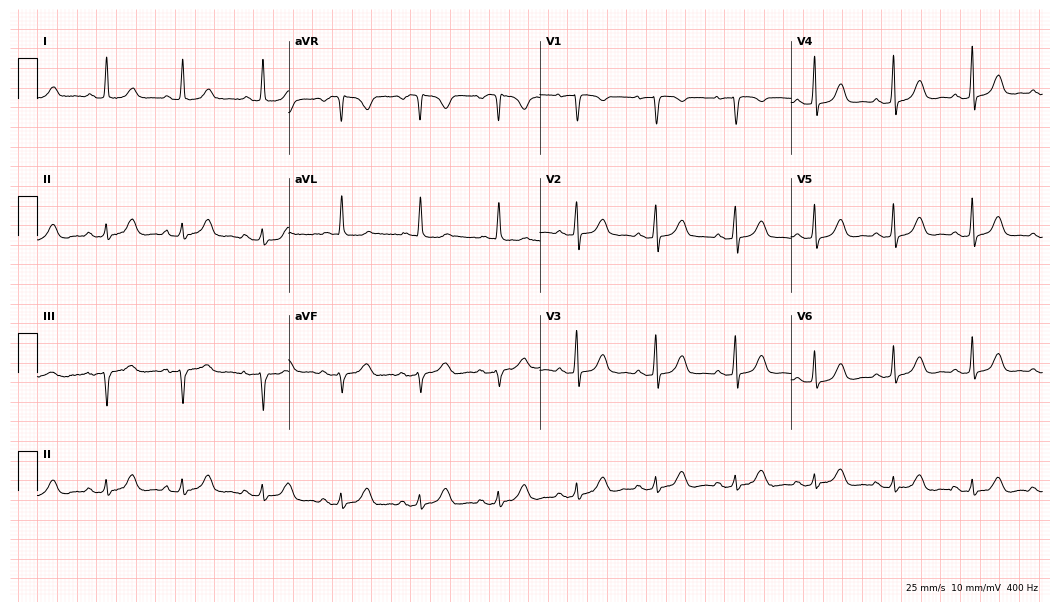
Resting 12-lead electrocardiogram (10.2-second recording at 400 Hz). Patient: an 83-year-old female. Read as a normal ECG.